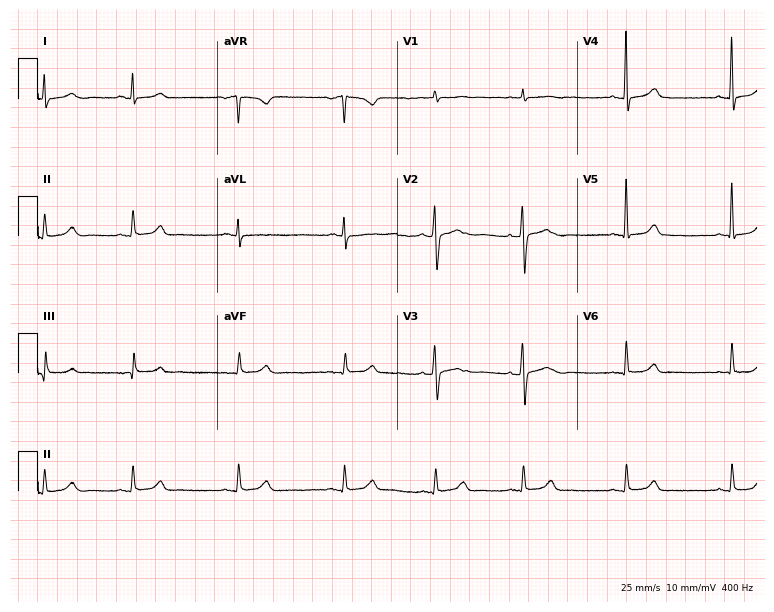
Resting 12-lead electrocardiogram (7.3-second recording at 400 Hz). Patient: a woman, 34 years old. None of these six findings is recorded: first-degree AV block, right bundle branch block (RBBB), left bundle branch block (LBBB), sinus bradycardia, atrial fibrillation (AF), sinus tachycardia.